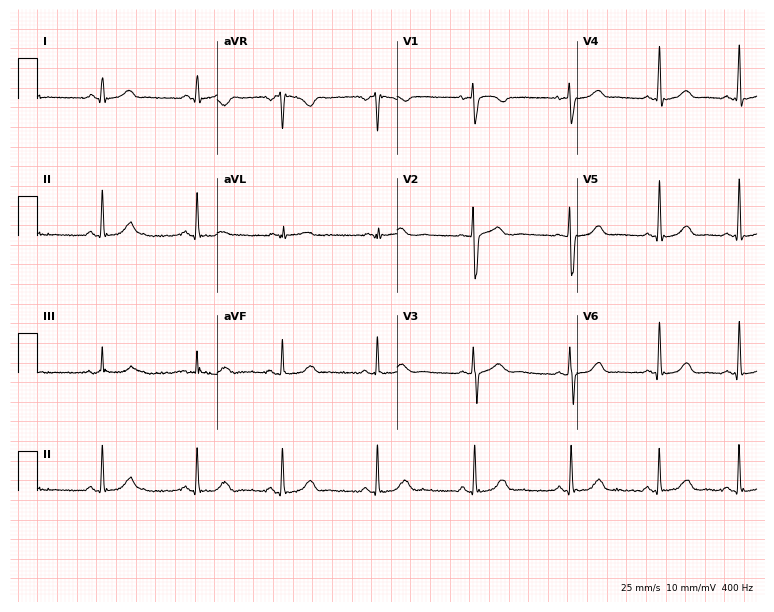
Standard 12-lead ECG recorded from a female patient, 19 years old (7.3-second recording at 400 Hz). Read as a normal ECG.